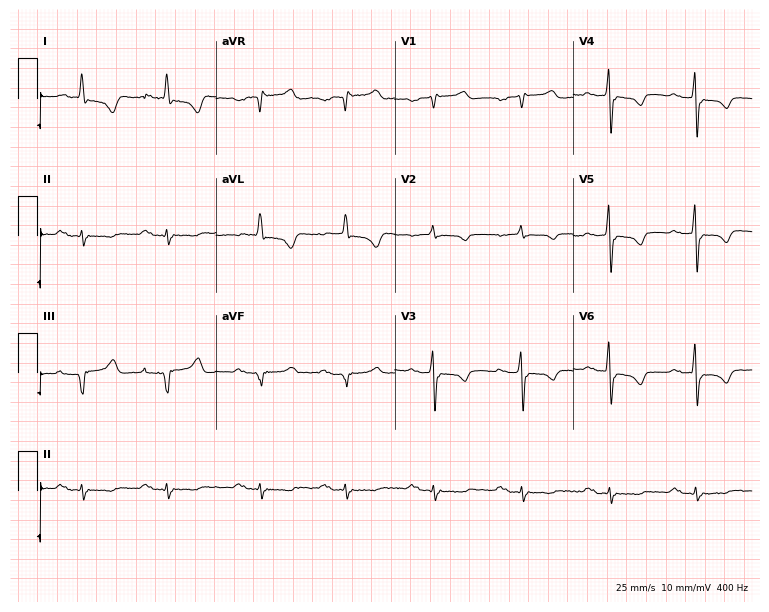
Standard 12-lead ECG recorded from a man, 69 years old (7.3-second recording at 400 Hz). The tracing shows first-degree AV block.